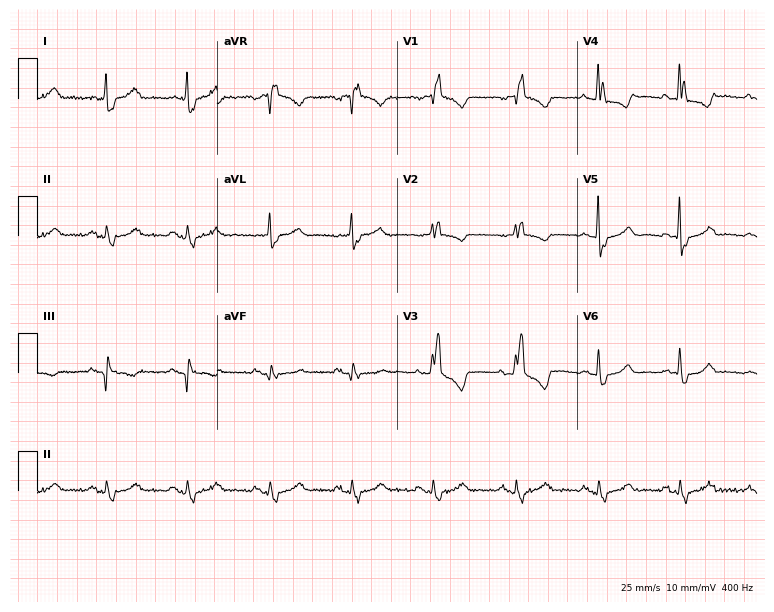
12-lead ECG from a 71-year-old female patient. Findings include right bundle branch block (RBBB).